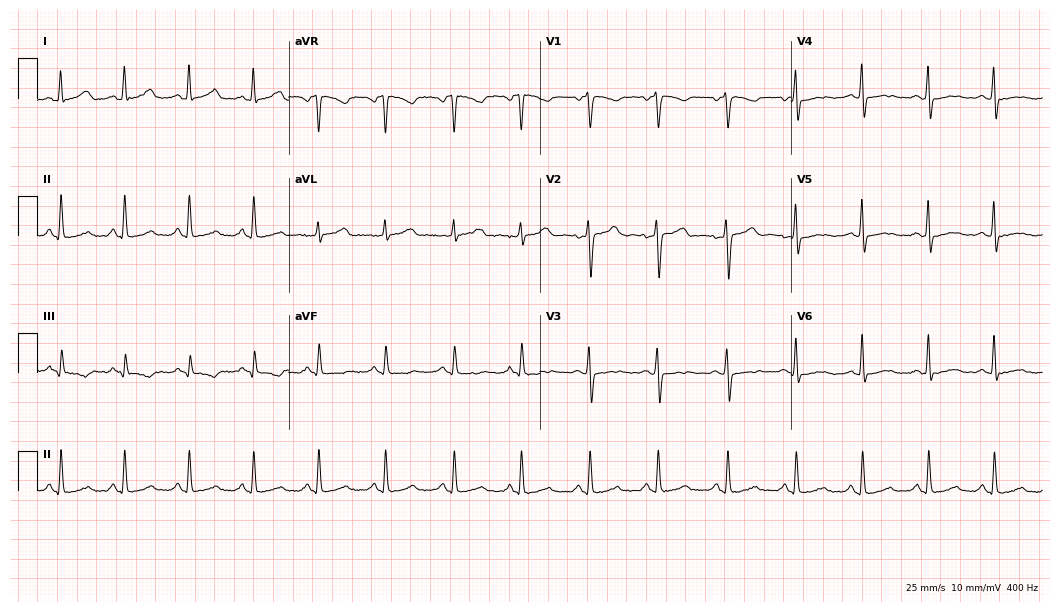
Standard 12-lead ECG recorded from a 39-year-old female (10.2-second recording at 400 Hz). None of these six findings is recorded: first-degree AV block, right bundle branch block, left bundle branch block, sinus bradycardia, atrial fibrillation, sinus tachycardia. Findings outside these six are not listed.